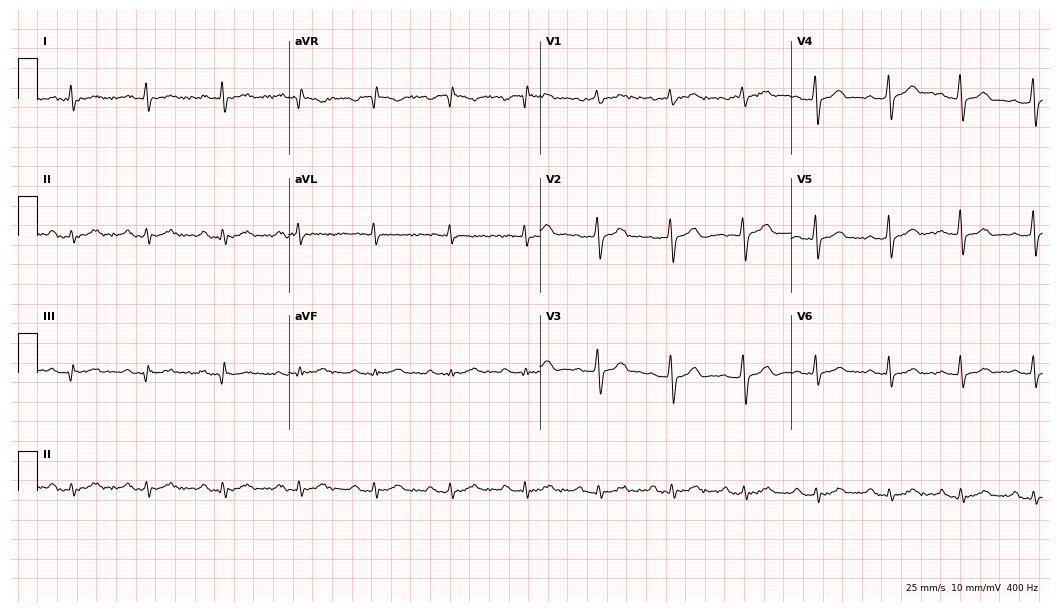
12-lead ECG from a man, 49 years old. Shows first-degree AV block.